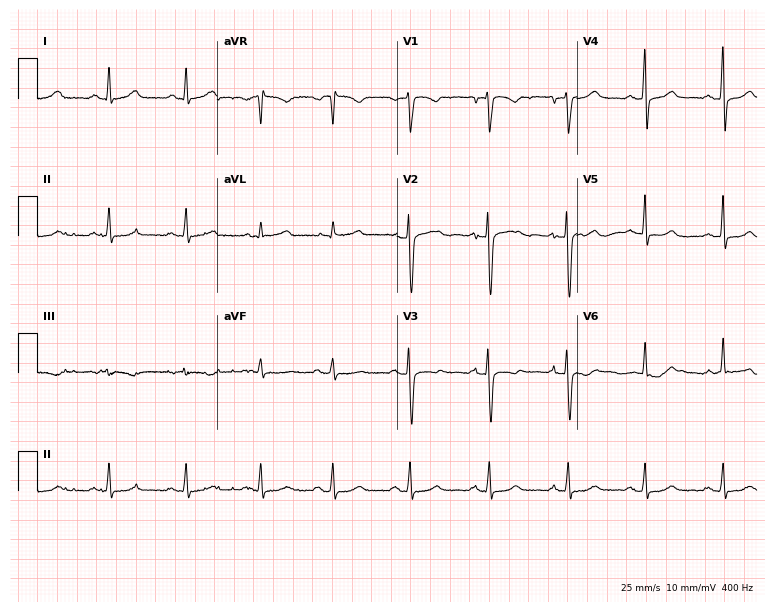
Standard 12-lead ECG recorded from a female patient, 43 years old. Read as a normal ECG.